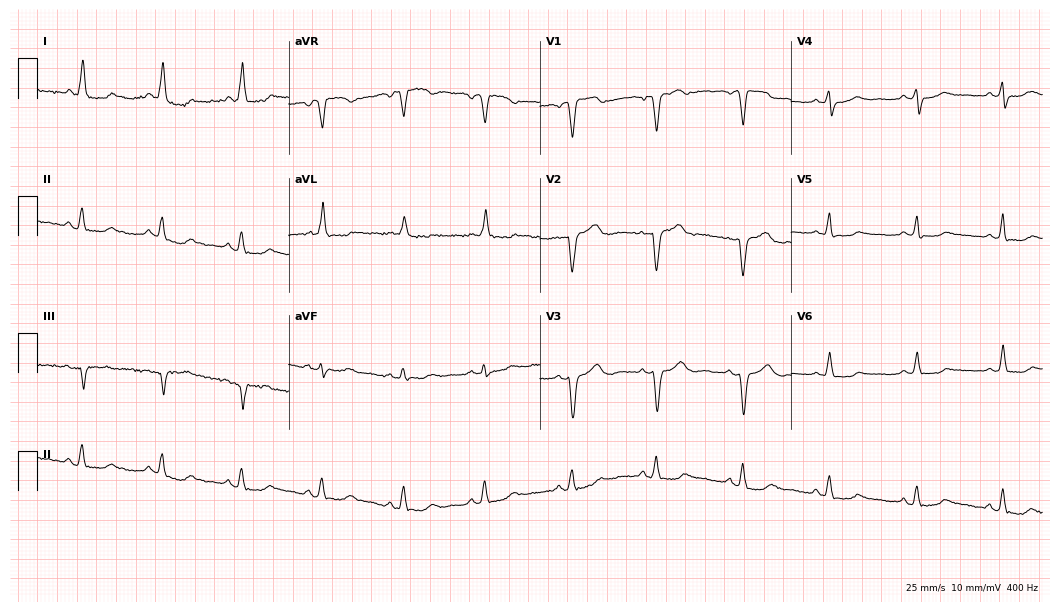
12-lead ECG from a 66-year-old female. No first-degree AV block, right bundle branch block (RBBB), left bundle branch block (LBBB), sinus bradycardia, atrial fibrillation (AF) or sinus tachycardia recorded for this tracing.